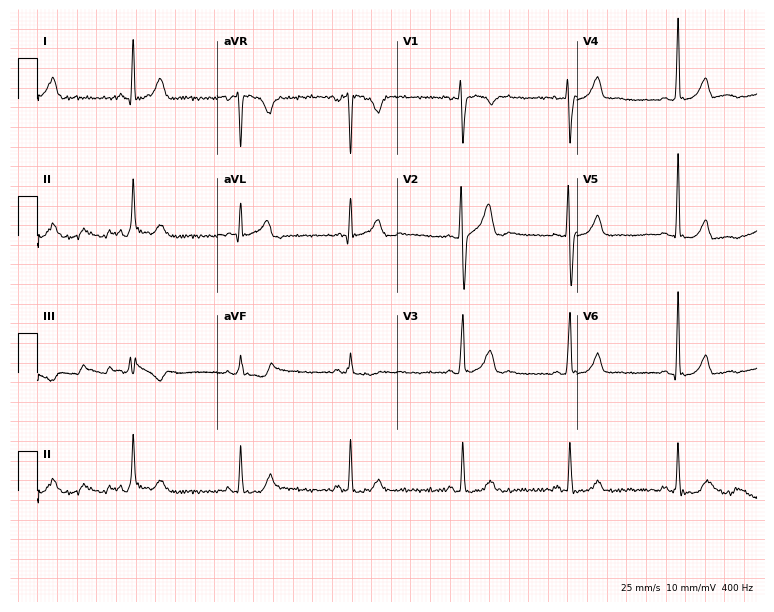
Resting 12-lead electrocardiogram. Patient: a 32-year-old male. None of these six findings is recorded: first-degree AV block, right bundle branch block (RBBB), left bundle branch block (LBBB), sinus bradycardia, atrial fibrillation (AF), sinus tachycardia. Other findings, if any, are not listed.